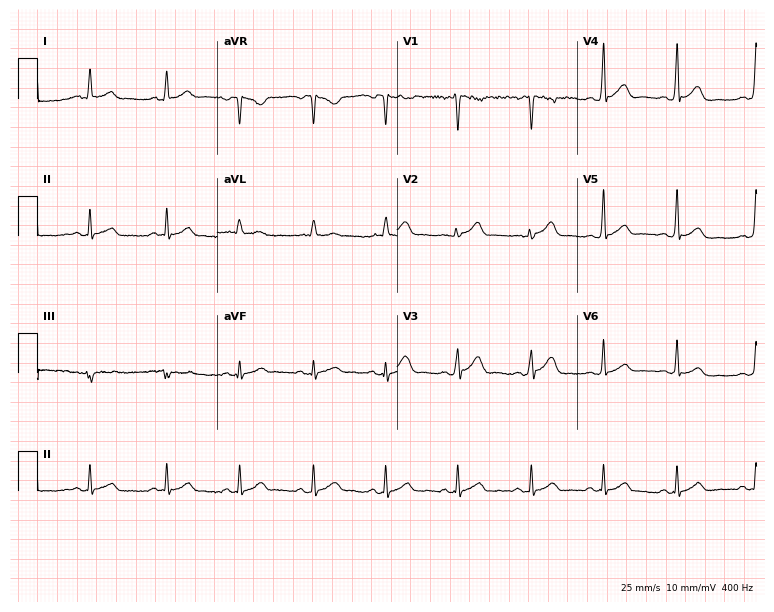
12-lead ECG from a male, 52 years old (7.3-second recording at 400 Hz). Recorded interpretation: within normal limits.